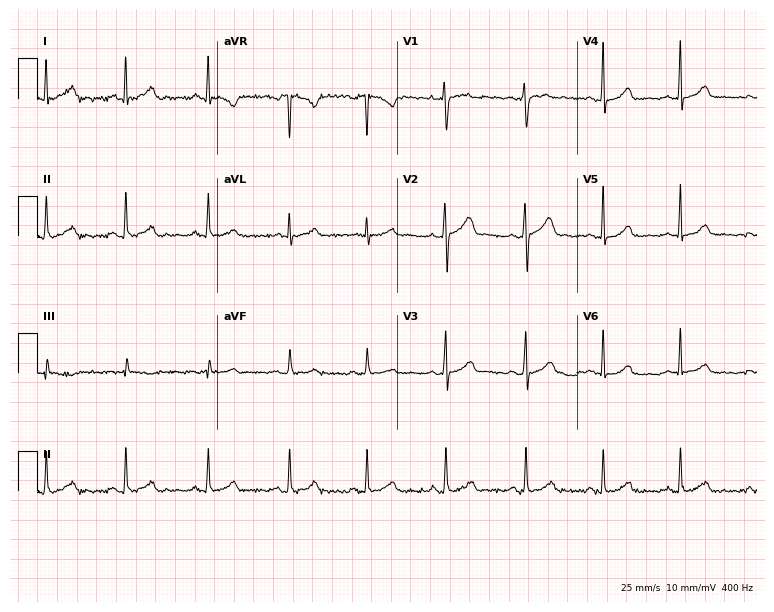
Electrocardiogram (7.3-second recording at 400 Hz), a woman, 33 years old. Overall reading on record: normal ECG.